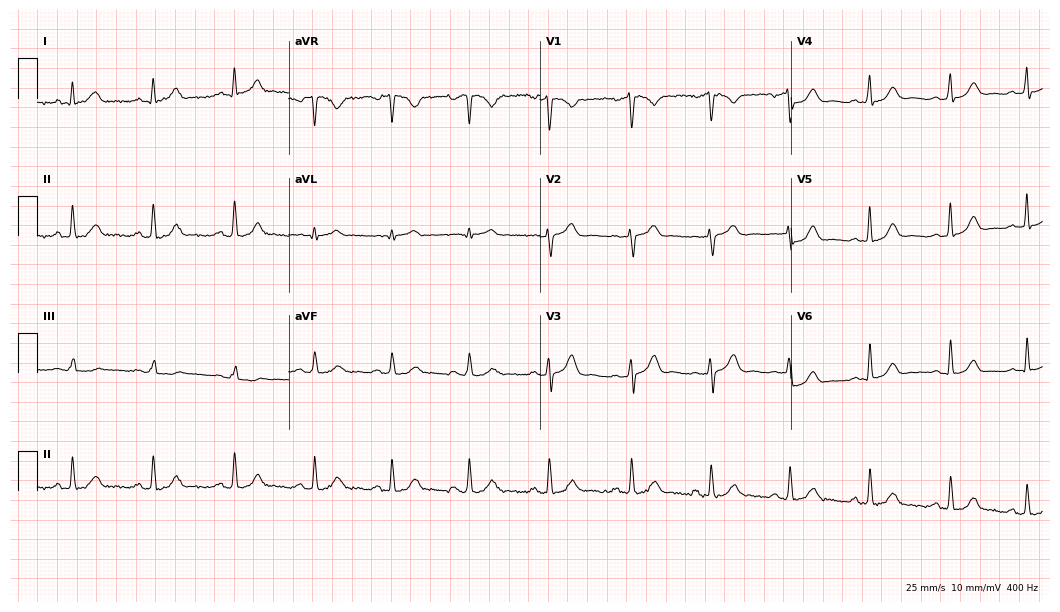
ECG (10.2-second recording at 400 Hz) — a 31-year-old female patient. Screened for six findings — first-degree AV block, right bundle branch block (RBBB), left bundle branch block (LBBB), sinus bradycardia, atrial fibrillation (AF), sinus tachycardia — none is recorded. Only these six findings were labelled.